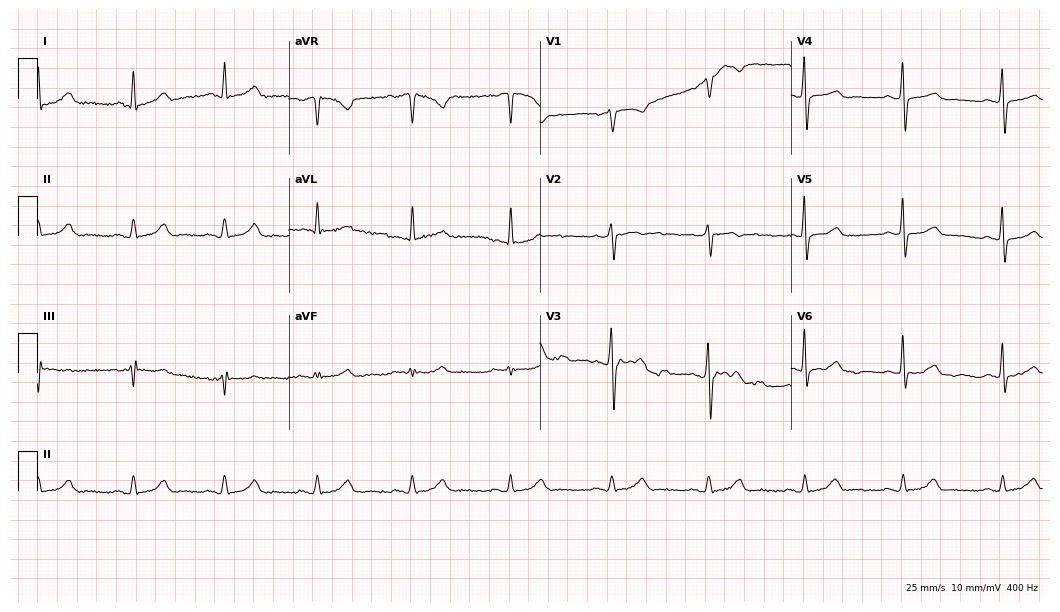
Resting 12-lead electrocardiogram (10.2-second recording at 400 Hz). Patient: a woman, 67 years old. None of these six findings is recorded: first-degree AV block, right bundle branch block (RBBB), left bundle branch block (LBBB), sinus bradycardia, atrial fibrillation (AF), sinus tachycardia. Findings outside these six are not listed.